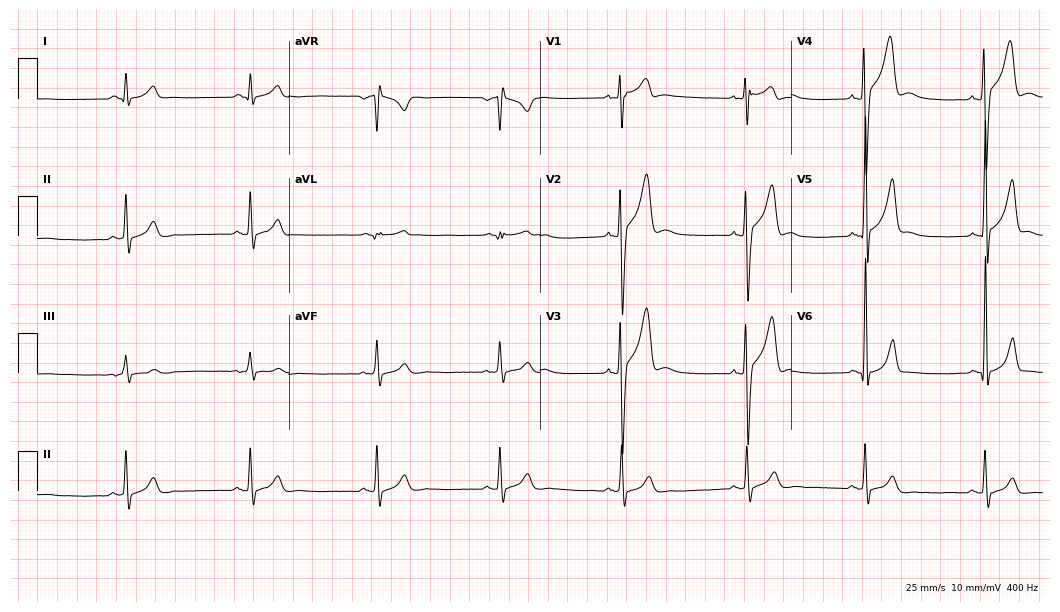
12-lead ECG from a man, 18 years old (10.2-second recording at 400 Hz). Shows sinus bradycardia (a sinus rate of 50 beats per minute or less).